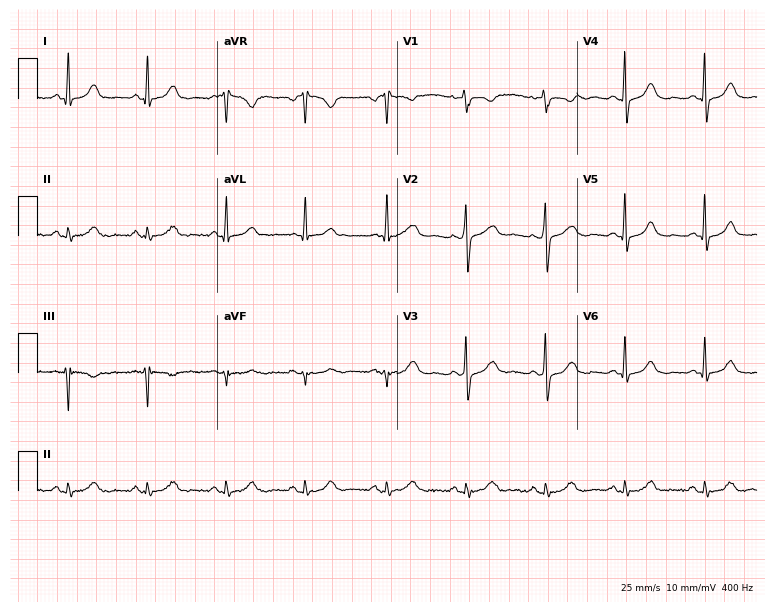
Standard 12-lead ECG recorded from a 59-year-old woman (7.3-second recording at 400 Hz). Read as a normal ECG.